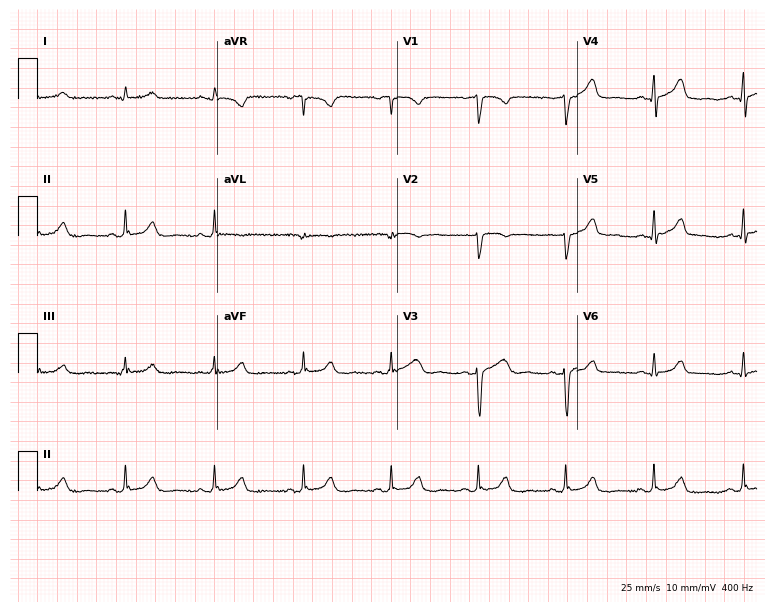
ECG (7.3-second recording at 400 Hz) — a 40-year-old female patient. Screened for six findings — first-degree AV block, right bundle branch block (RBBB), left bundle branch block (LBBB), sinus bradycardia, atrial fibrillation (AF), sinus tachycardia — none is recorded. Only these six findings were labelled.